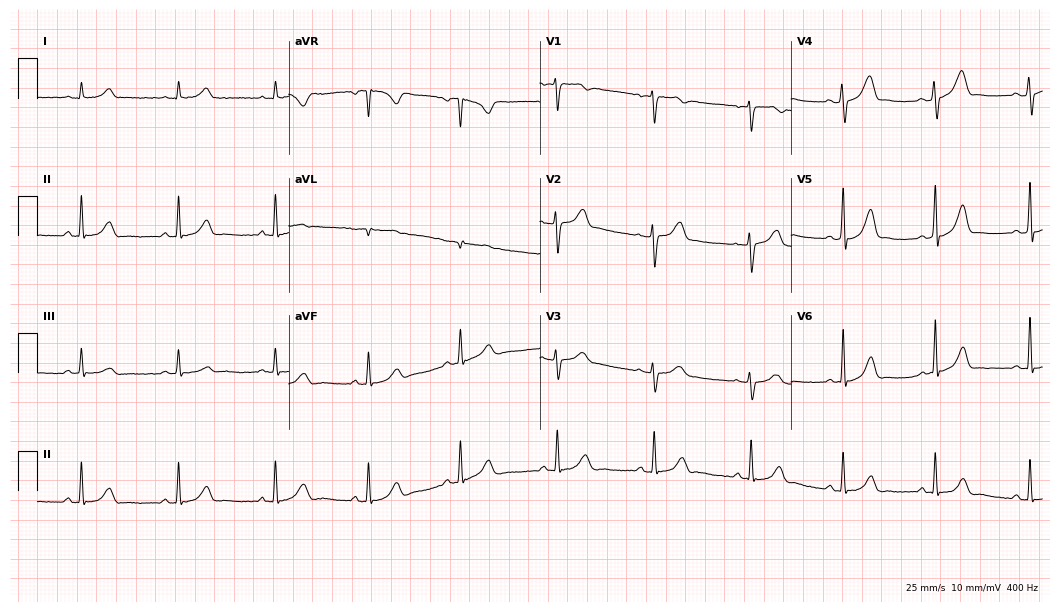
ECG (10.2-second recording at 400 Hz) — a 37-year-old female. Labelled as a normal ECG.